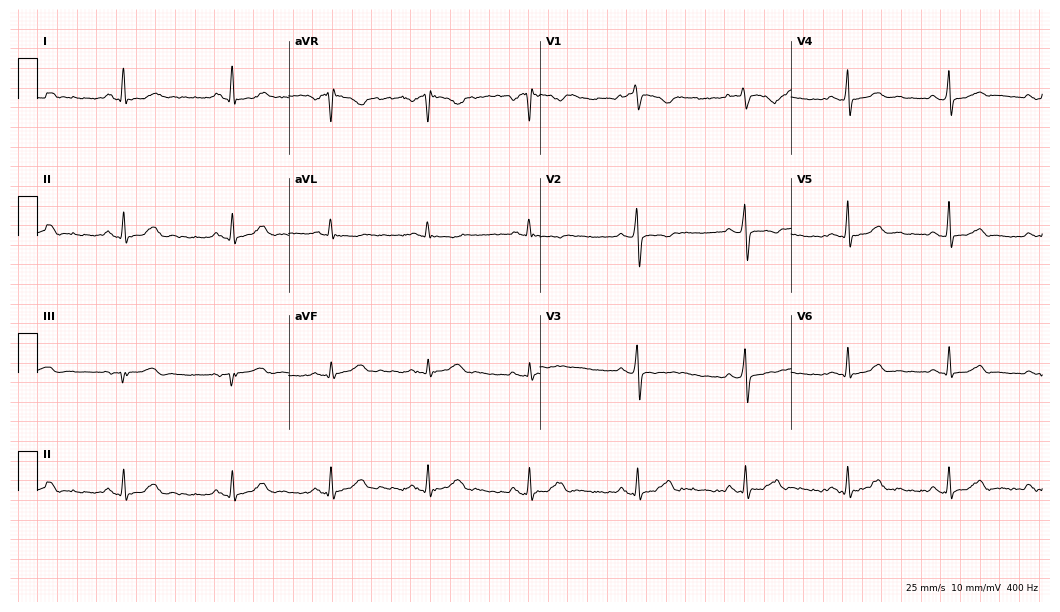
Resting 12-lead electrocardiogram (10.2-second recording at 400 Hz). Patient: a 47-year-old female. None of these six findings is recorded: first-degree AV block, right bundle branch block, left bundle branch block, sinus bradycardia, atrial fibrillation, sinus tachycardia.